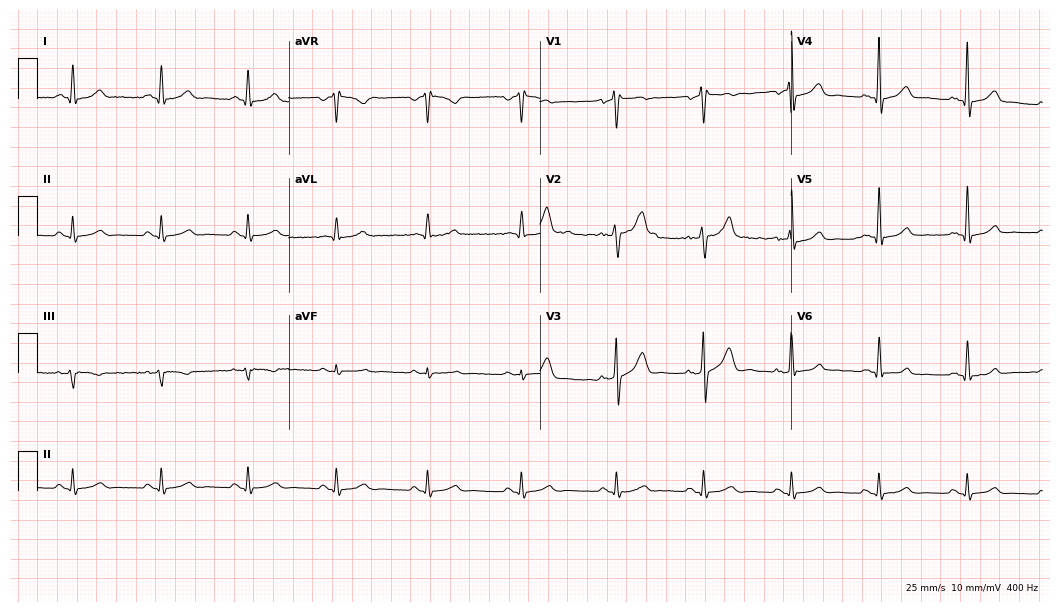
Resting 12-lead electrocardiogram (10.2-second recording at 400 Hz). Patient: a male, 48 years old. Read as a normal ECG.